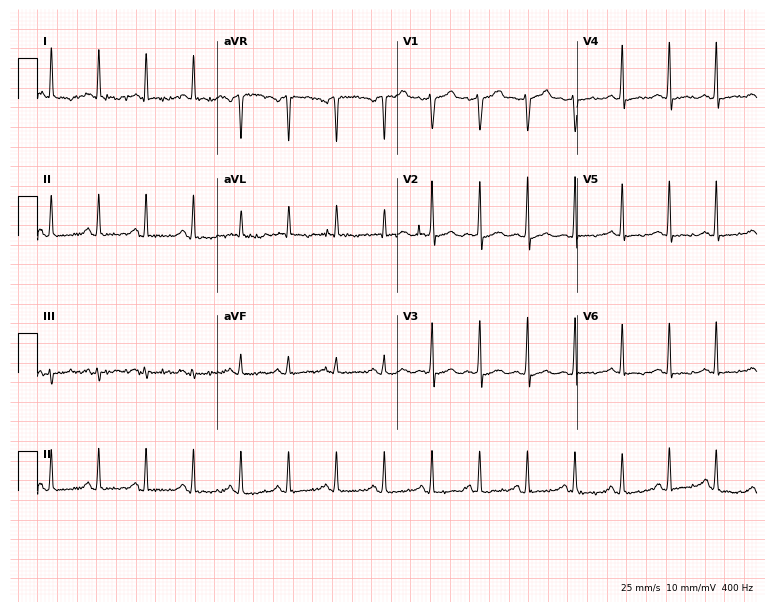
ECG — a man, 42 years old. Findings include sinus tachycardia (a sinus rate of 100 beats per minute or more).